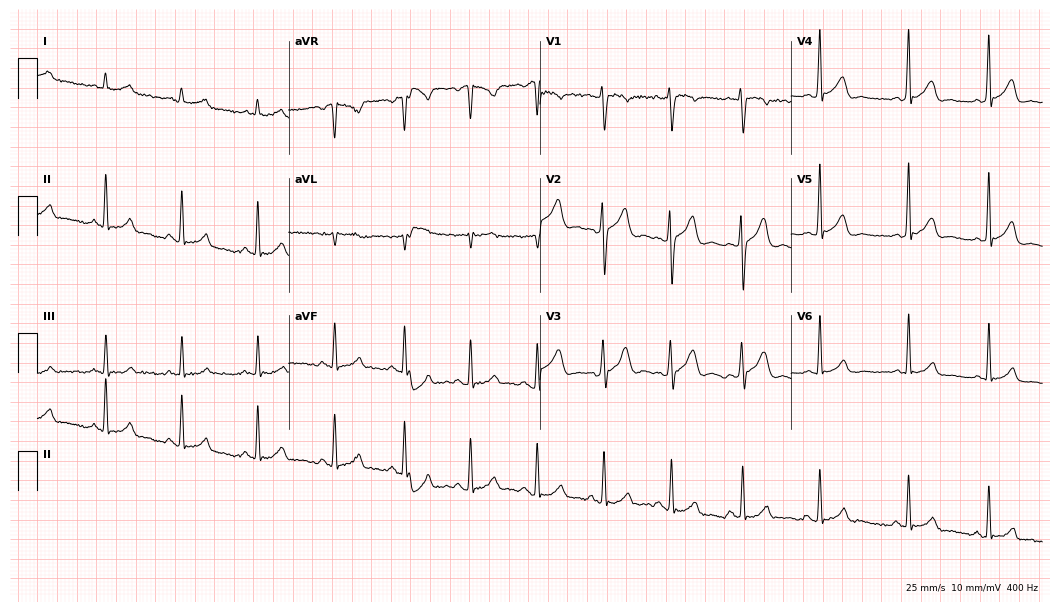
Standard 12-lead ECG recorded from a male patient, 34 years old. None of these six findings is recorded: first-degree AV block, right bundle branch block, left bundle branch block, sinus bradycardia, atrial fibrillation, sinus tachycardia.